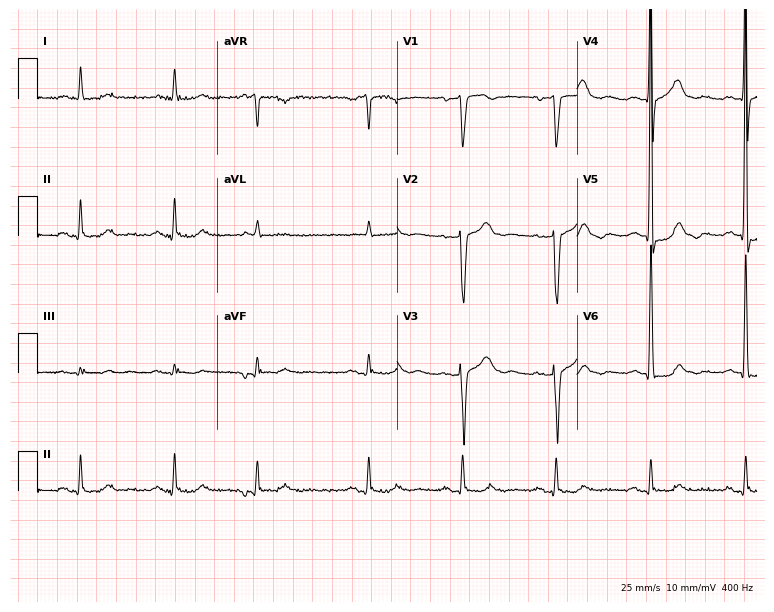
Resting 12-lead electrocardiogram (7.3-second recording at 400 Hz). Patient: an 85-year-old male. None of these six findings is recorded: first-degree AV block, right bundle branch block (RBBB), left bundle branch block (LBBB), sinus bradycardia, atrial fibrillation (AF), sinus tachycardia. Only these six findings were labelled.